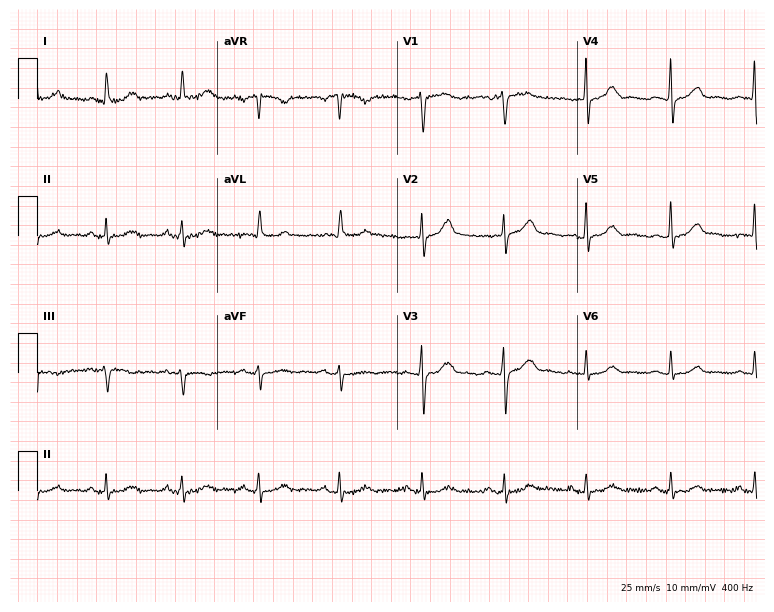
12-lead ECG from a female patient, 53 years old (7.3-second recording at 400 Hz). No first-degree AV block, right bundle branch block (RBBB), left bundle branch block (LBBB), sinus bradycardia, atrial fibrillation (AF) or sinus tachycardia recorded for this tracing. Only these six findings were labelled.